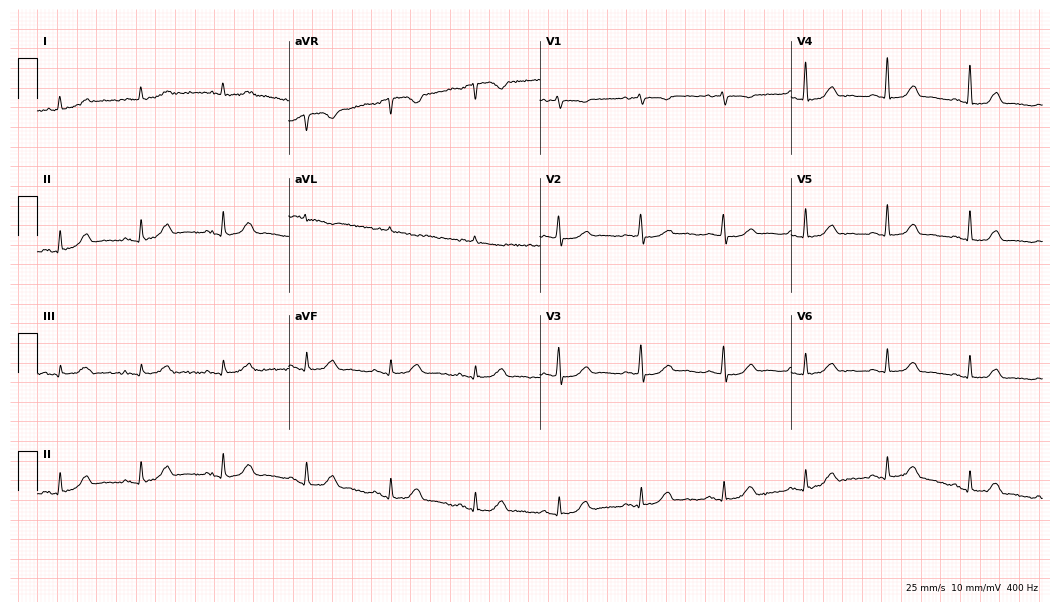
Resting 12-lead electrocardiogram. Patient: a woman, 67 years old. Read as a normal ECG.